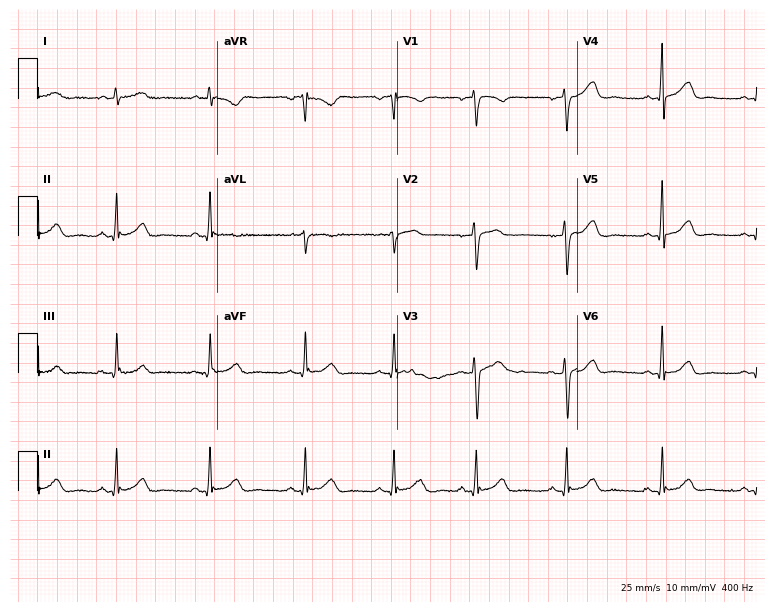
ECG (7.3-second recording at 400 Hz) — a female patient, 54 years old. Labelled as a normal ECG.